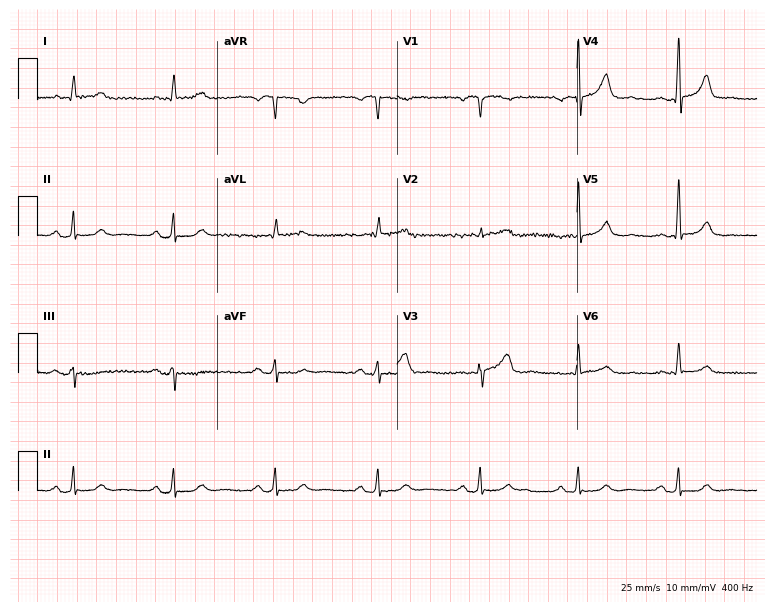
12-lead ECG from a male, 68 years old (7.3-second recording at 400 Hz). Recorded interpretation: within normal limits.